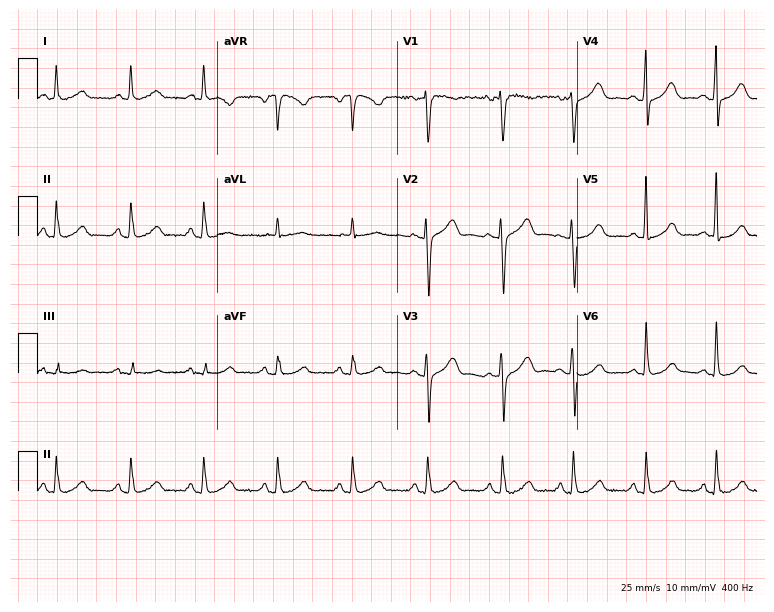
Electrocardiogram (7.3-second recording at 400 Hz), a female, 54 years old. Of the six screened findings (first-degree AV block, right bundle branch block, left bundle branch block, sinus bradycardia, atrial fibrillation, sinus tachycardia), none is recorded.